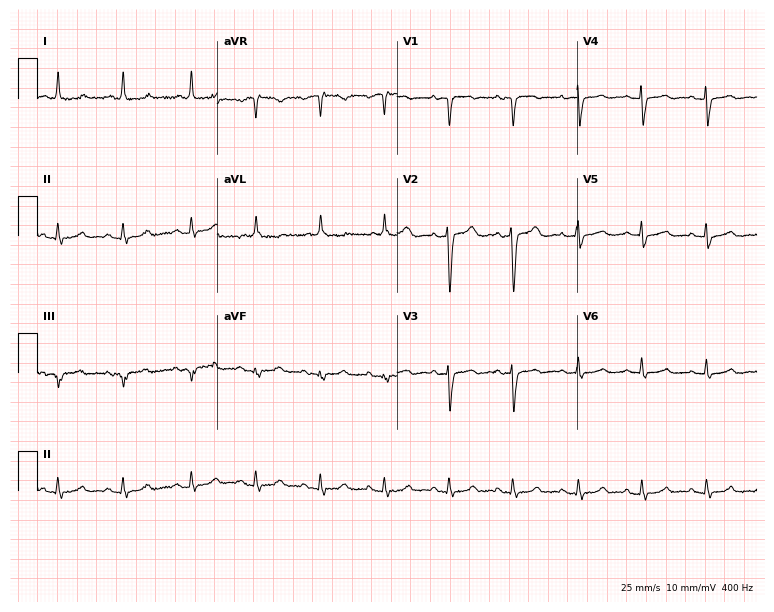
Standard 12-lead ECG recorded from a 79-year-old woman. None of these six findings is recorded: first-degree AV block, right bundle branch block, left bundle branch block, sinus bradycardia, atrial fibrillation, sinus tachycardia. Findings outside these six are not listed.